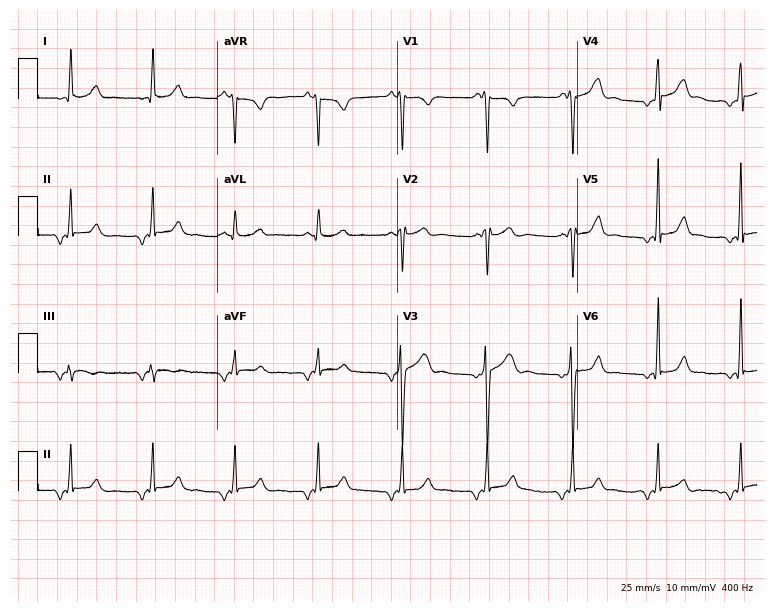
12-lead ECG from a 31-year-old man. No first-degree AV block, right bundle branch block, left bundle branch block, sinus bradycardia, atrial fibrillation or sinus tachycardia recorded for this tracing. Other findings, if any, are not listed.